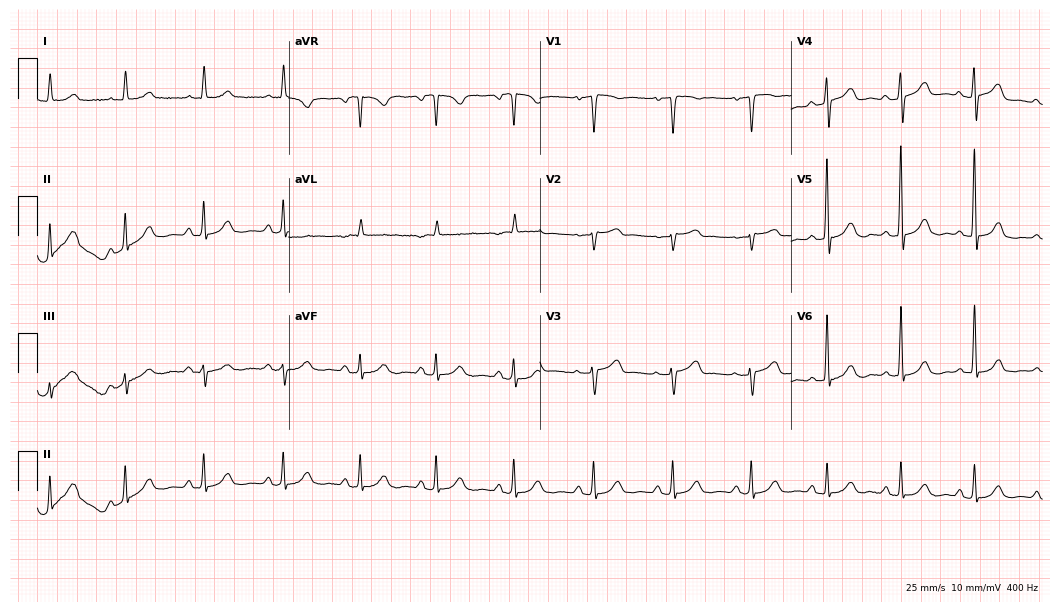
Electrocardiogram (10.2-second recording at 400 Hz), a female patient, 78 years old. Of the six screened findings (first-degree AV block, right bundle branch block (RBBB), left bundle branch block (LBBB), sinus bradycardia, atrial fibrillation (AF), sinus tachycardia), none is recorded. Other findings, if any, are not listed.